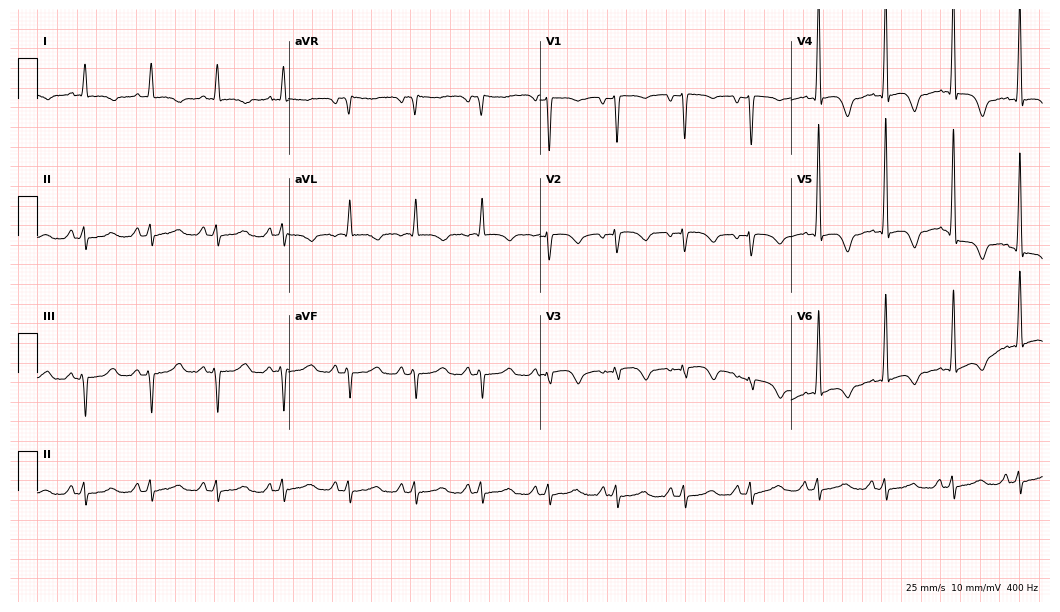
12-lead ECG (10.2-second recording at 400 Hz) from a 58-year-old male patient. Screened for six findings — first-degree AV block, right bundle branch block, left bundle branch block, sinus bradycardia, atrial fibrillation, sinus tachycardia — none is recorded.